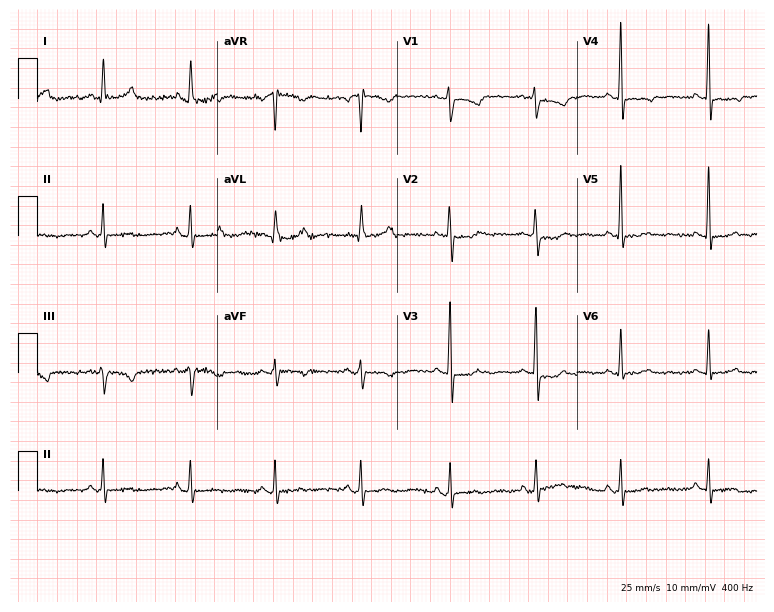
ECG (7.3-second recording at 400 Hz) — a 66-year-old female. Screened for six findings — first-degree AV block, right bundle branch block (RBBB), left bundle branch block (LBBB), sinus bradycardia, atrial fibrillation (AF), sinus tachycardia — none is recorded.